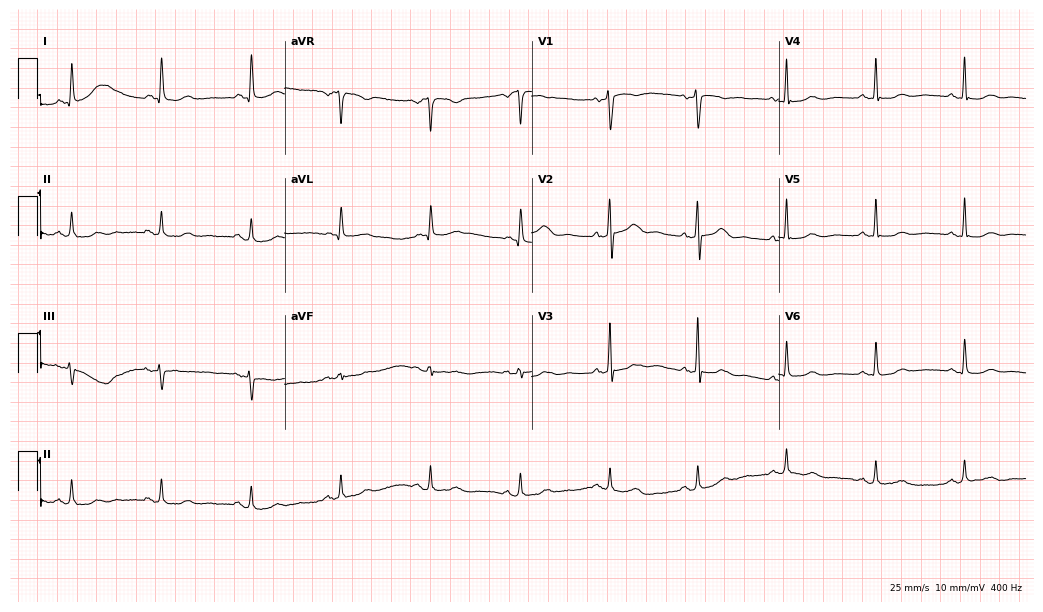
12-lead ECG (10.1-second recording at 400 Hz) from a female, 71 years old. Screened for six findings — first-degree AV block, right bundle branch block, left bundle branch block, sinus bradycardia, atrial fibrillation, sinus tachycardia — none is recorded. Other findings, if any, are not listed.